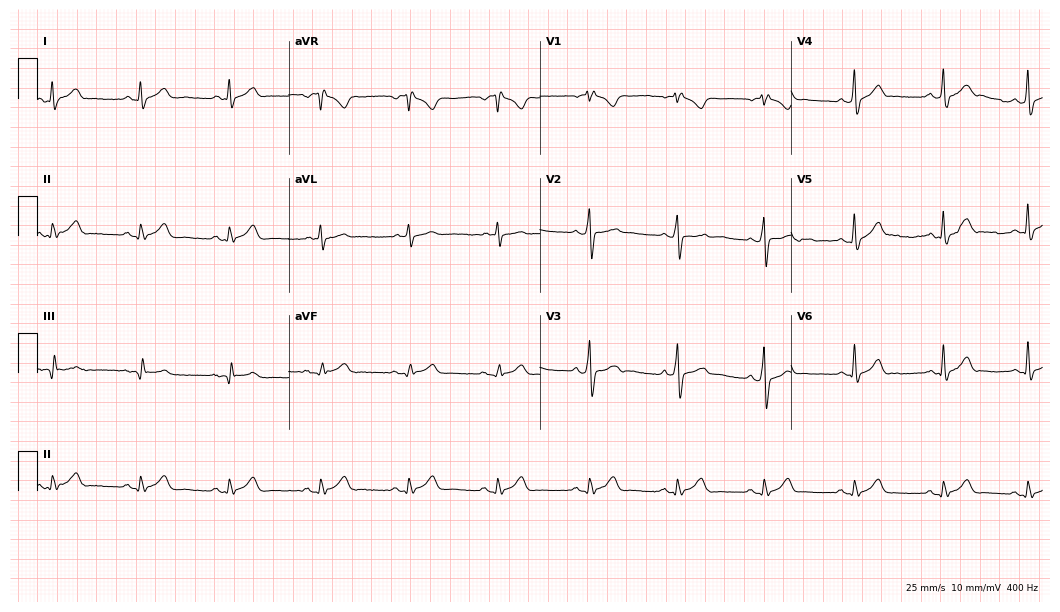
12-lead ECG (10.2-second recording at 400 Hz) from a 50-year-old man. Screened for six findings — first-degree AV block, right bundle branch block, left bundle branch block, sinus bradycardia, atrial fibrillation, sinus tachycardia — none is recorded.